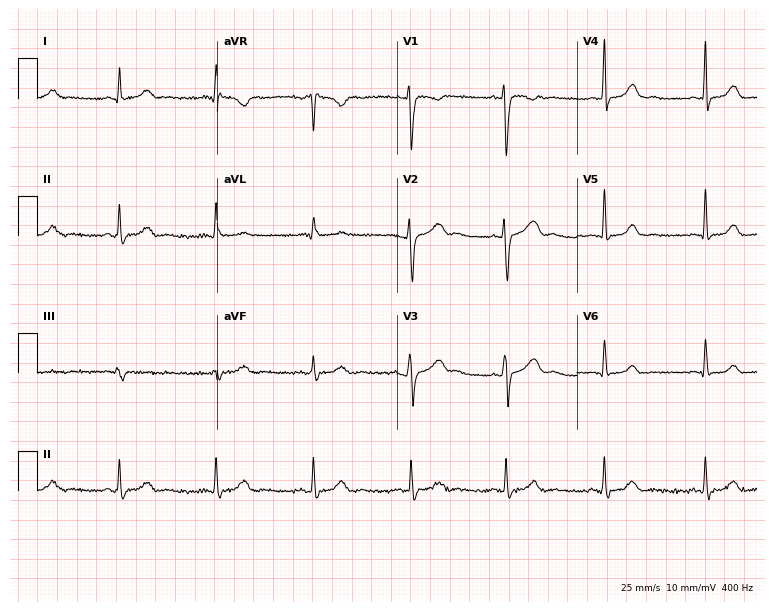
12-lead ECG from a 34-year-old woman (7.3-second recording at 400 Hz). No first-degree AV block, right bundle branch block (RBBB), left bundle branch block (LBBB), sinus bradycardia, atrial fibrillation (AF) or sinus tachycardia recorded for this tracing. Only these six findings were labelled.